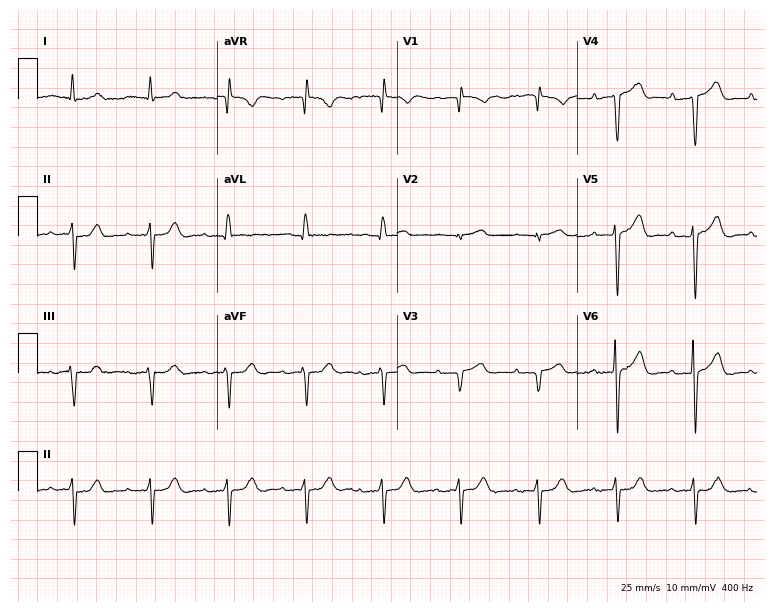
12-lead ECG from a man, 80 years old. Findings include first-degree AV block.